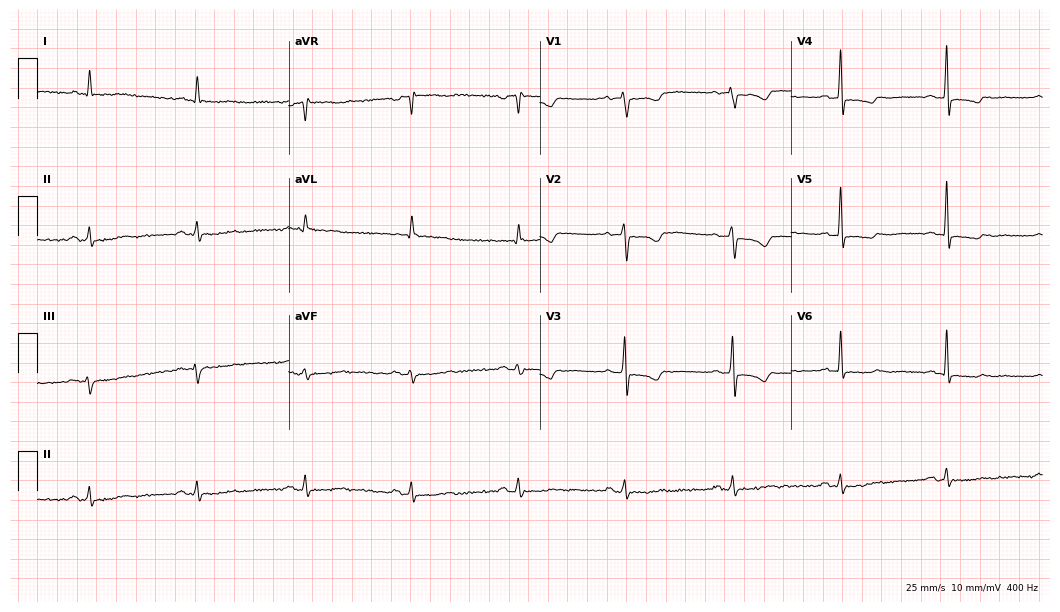
12-lead ECG from a 70-year-old female (10.2-second recording at 400 Hz). No first-degree AV block, right bundle branch block, left bundle branch block, sinus bradycardia, atrial fibrillation or sinus tachycardia recorded for this tracing.